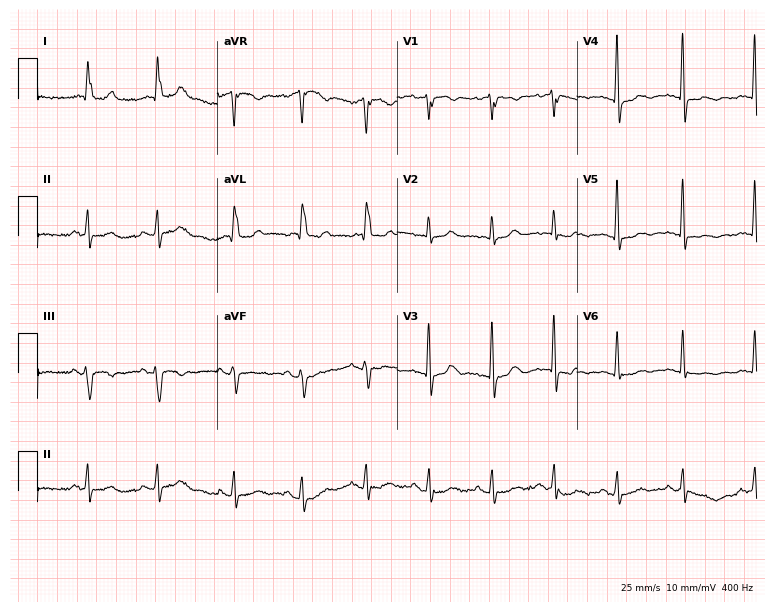
Electrocardiogram, a 77-year-old woman. Overall reading on record: normal ECG.